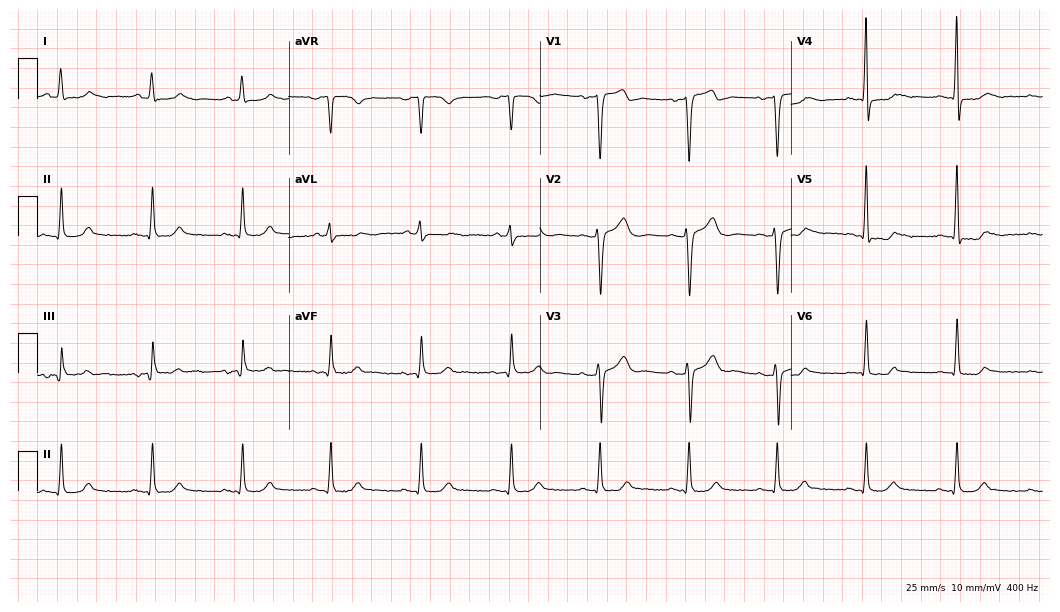
12-lead ECG from a 45-year-old male patient. No first-degree AV block, right bundle branch block (RBBB), left bundle branch block (LBBB), sinus bradycardia, atrial fibrillation (AF) or sinus tachycardia recorded for this tracing. Findings outside these six are not listed.